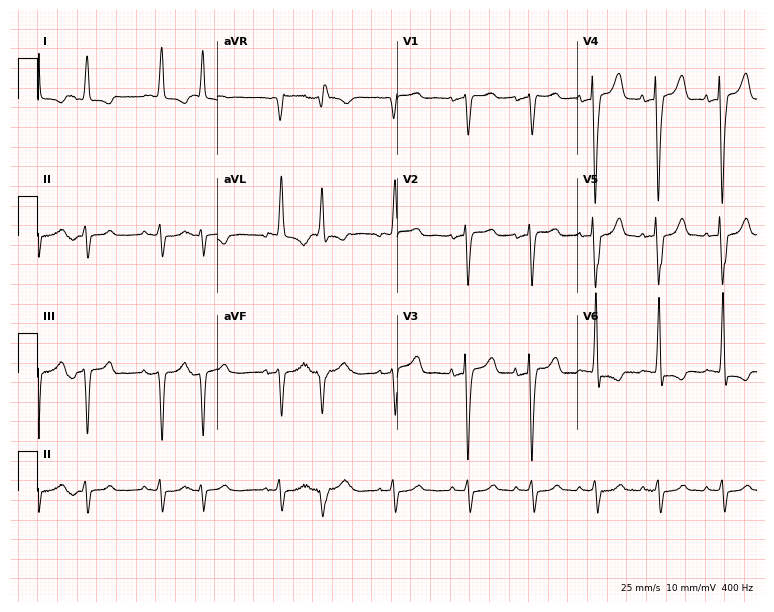
12-lead ECG from an 85-year-old female (7.3-second recording at 400 Hz). No first-degree AV block, right bundle branch block, left bundle branch block, sinus bradycardia, atrial fibrillation or sinus tachycardia recorded for this tracing. Other findings, if any, are not listed.